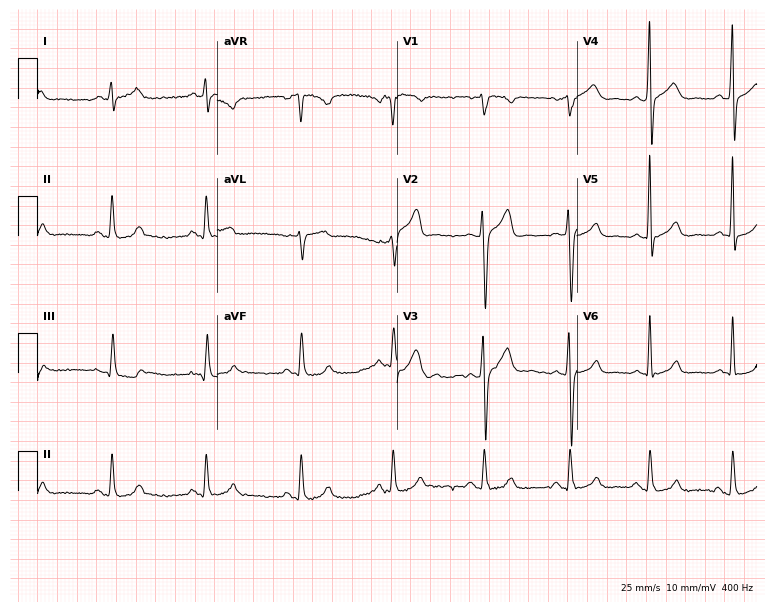
12-lead ECG from a 35-year-old male patient. Screened for six findings — first-degree AV block, right bundle branch block, left bundle branch block, sinus bradycardia, atrial fibrillation, sinus tachycardia — none is recorded. Only these six findings were labelled.